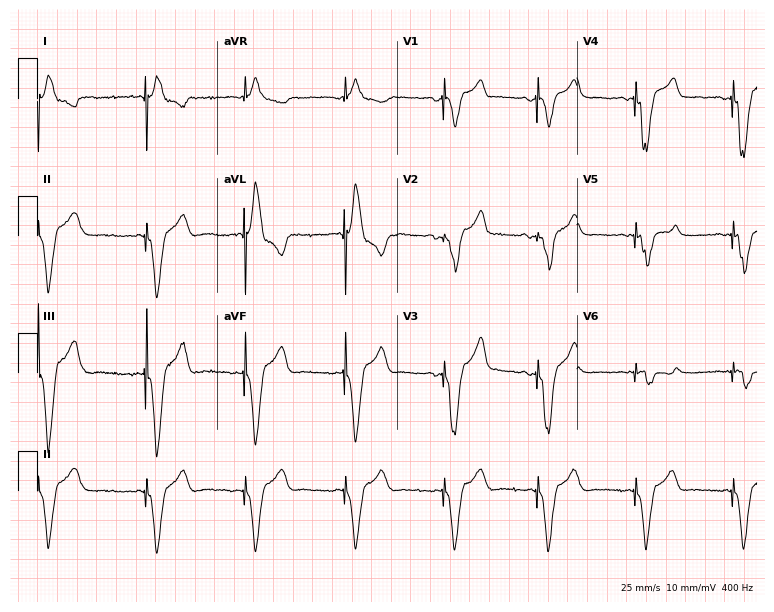
12-lead ECG from an 81-year-old man. Screened for six findings — first-degree AV block, right bundle branch block, left bundle branch block, sinus bradycardia, atrial fibrillation, sinus tachycardia — none is recorded. Other findings, if any, are not listed.